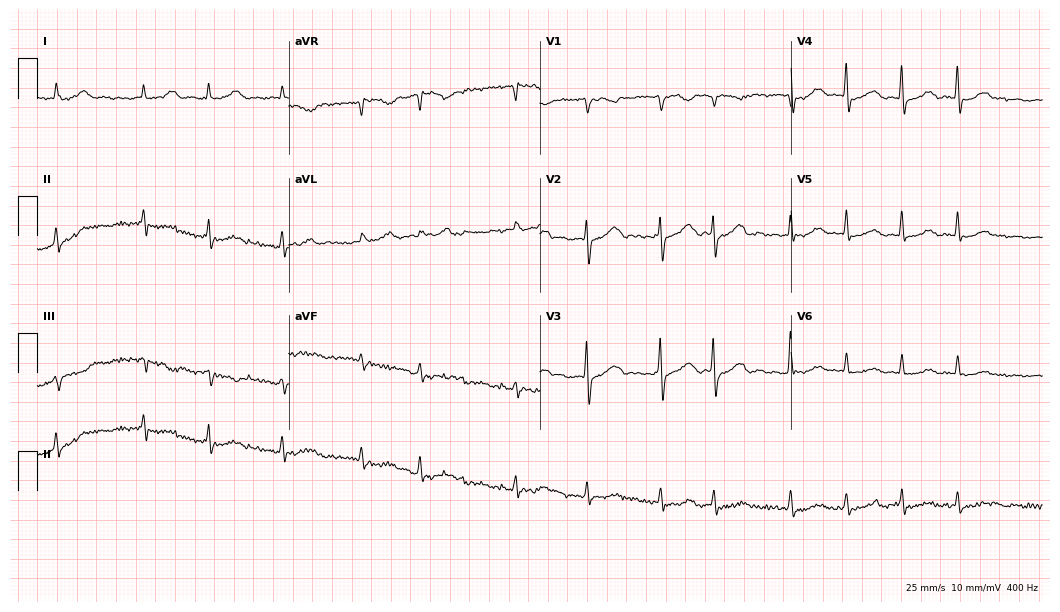
Resting 12-lead electrocardiogram. Patient: a female, 57 years old. The tracing shows atrial fibrillation.